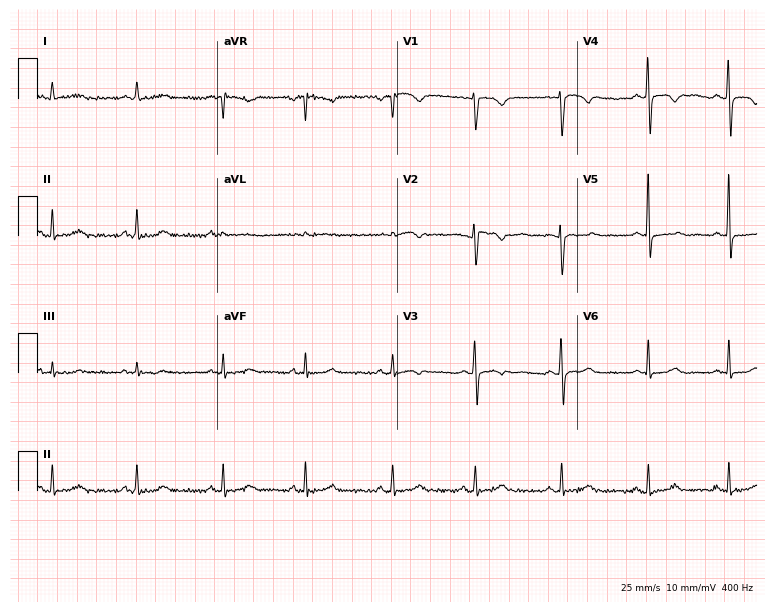
Standard 12-lead ECG recorded from a woman, 37 years old (7.3-second recording at 400 Hz). None of these six findings is recorded: first-degree AV block, right bundle branch block, left bundle branch block, sinus bradycardia, atrial fibrillation, sinus tachycardia.